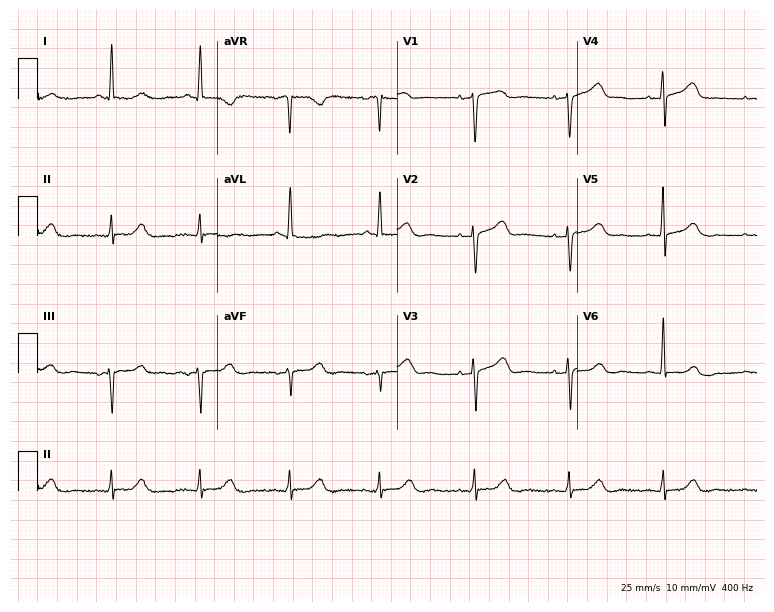
Standard 12-lead ECG recorded from a 56-year-old woman (7.3-second recording at 400 Hz). None of these six findings is recorded: first-degree AV block, right bundle branch block (RBBB), left bundle branch block (LBBB), sinus bradycardia, atrial fibrillation (AF), sinus tachycardia.